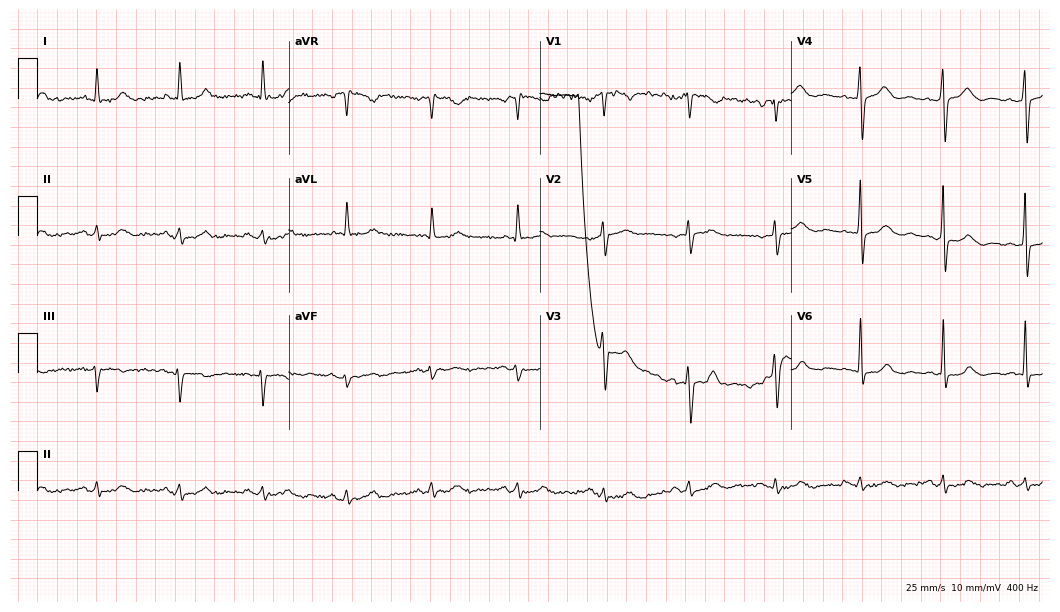
Electrocardiogram (10.2-second recording at 400 Hz), a man, 77 years old. Of the six screened findings (first-degree AV block, right bundle branch block, left bundle branch block, sinus bradycardia, atrial fibrillation, sinus tachycardia), none is recorded.